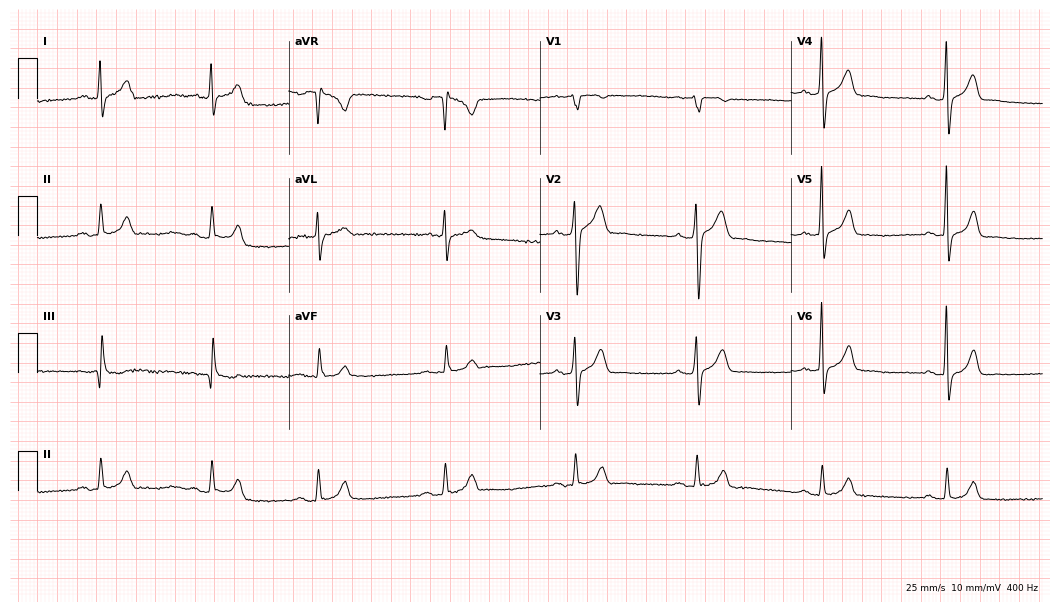
Resting 12-lead electrocardiogram (10.2-second recording at 400 Hz). Patient: a 42-year-old male. None of these six findings is recorded: first-degree AV block, right bundle branch block, left bundle branch block, sinus bradycardia, atrial fibrillation, sinus tachycardia.